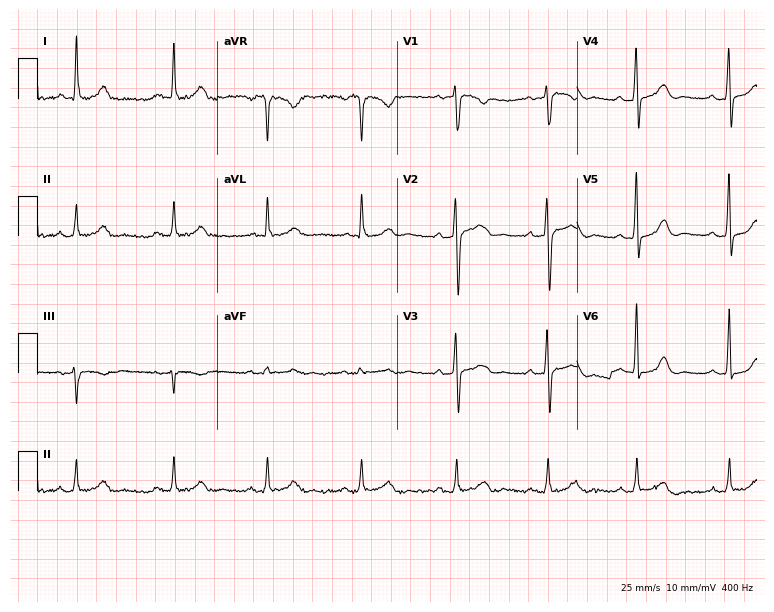
Electrocardiogram, a 62-year-old female patient. Of the six screened findings (first-degree AV block, right bundle branch block (RBBB), left bundle branch block (LBBB), sinus bradycardia, atrial fibrillation (AF), sinus tachycardia), none is recorded. Findings outside these six are not listed.